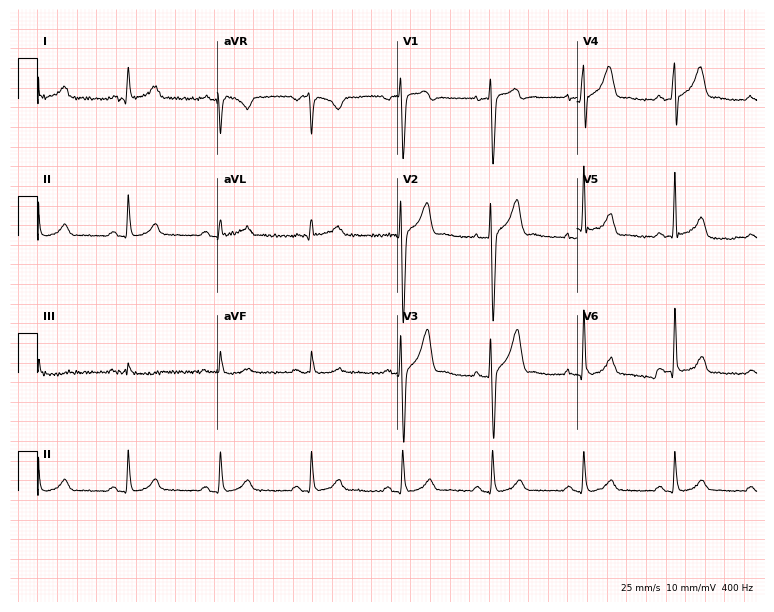
ECG (7.3-second recording at 400 Hz) — a 39-year-old male patient. Labelled as a normal ECG.